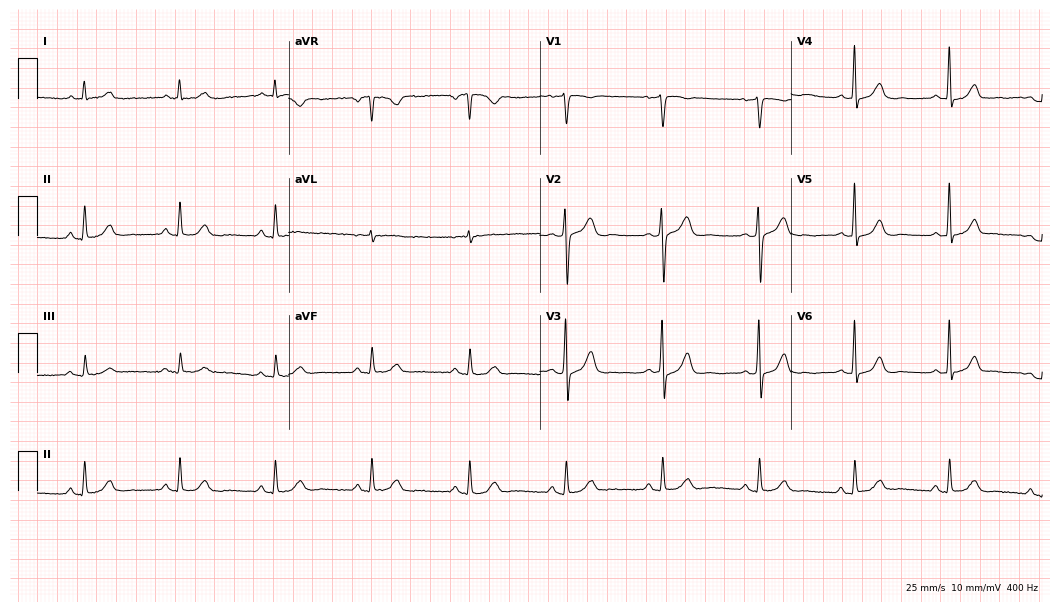
12-lead ECG from a 46-year-old male patient. Labelled as a normal ECG.